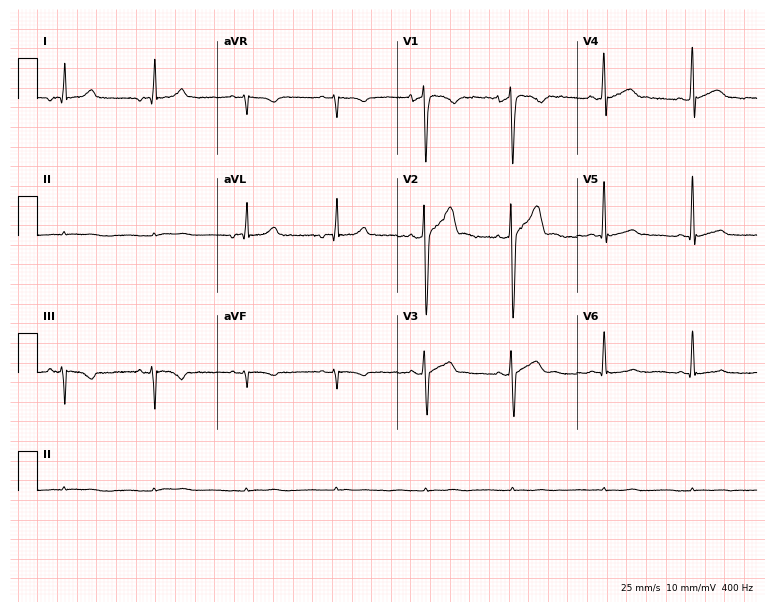
Resting 12-lead electrocardiogram. Patient: a male, 28 years old. None of these six findings is recorded: first-degree AV block, right bundle branch block (RBBB), left bundle branch block (LBBB), sinus bradycardia, atrial fibrillation (AF), sinus tachycardia.